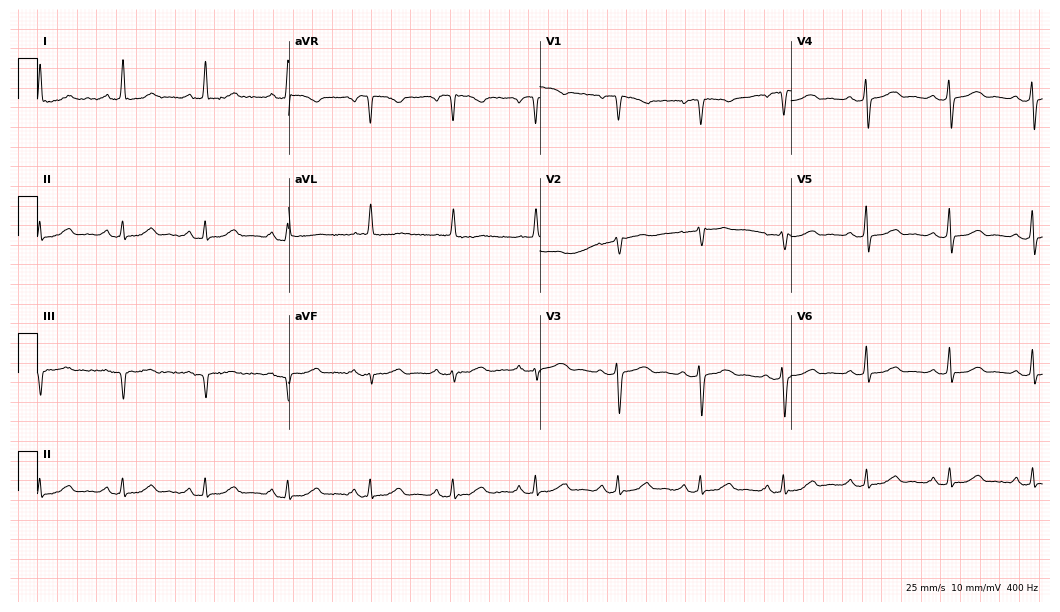
Electrocardiogram (10.2-second recording at 400 Hz), an 80-year-old woman. Overall reading on record: normal ECG.